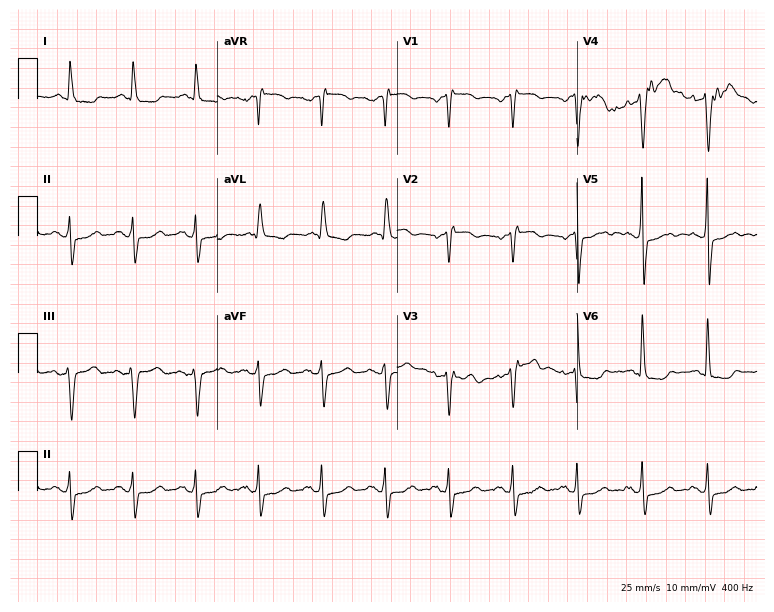
12-lead ECG from a male, 69 years old. No first-degree AV block, right bundle branch block, left bundle branch block, sinus bradycardia, atrial fibrillation or sinus tachycardia recorded for this tracing.